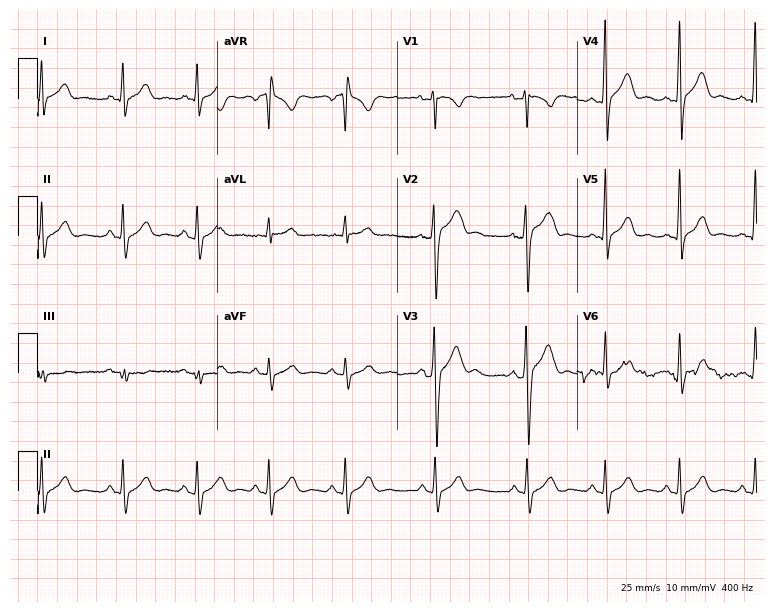
Resting 12-lead electrocardiogram. Patient: a 23-year-old male. Read as a normal ECG.